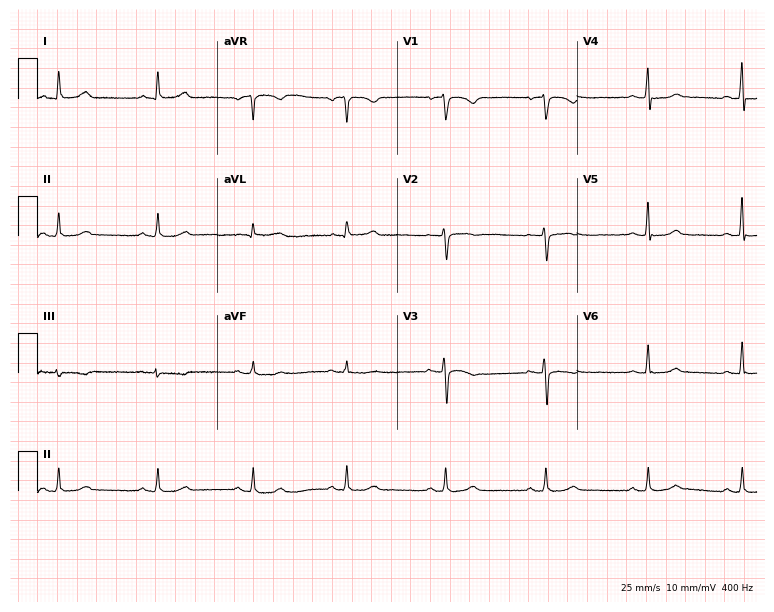
Resting 12-lead electrocardiogram. Patient: a female, 63 years old. None of these six findings is recorded: first-degree AV block, right bundle branch block, left bundle branch block, sinus bradycardia, atrial fibrillation, sinus tachycardia. Other findings, if any, are not listed.